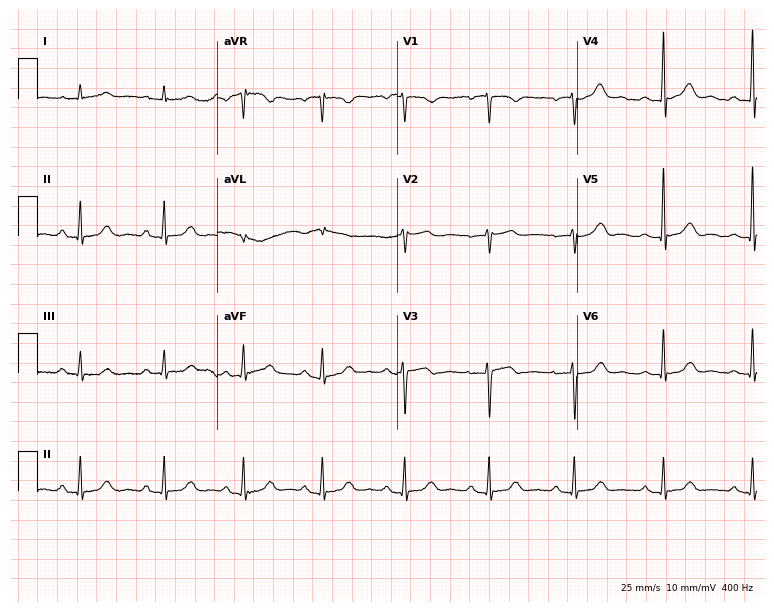
Electrocardiogram (7.3-second recording at 400 Hz), a female patient, 53 years old. Overall reading on record: normal ECG.